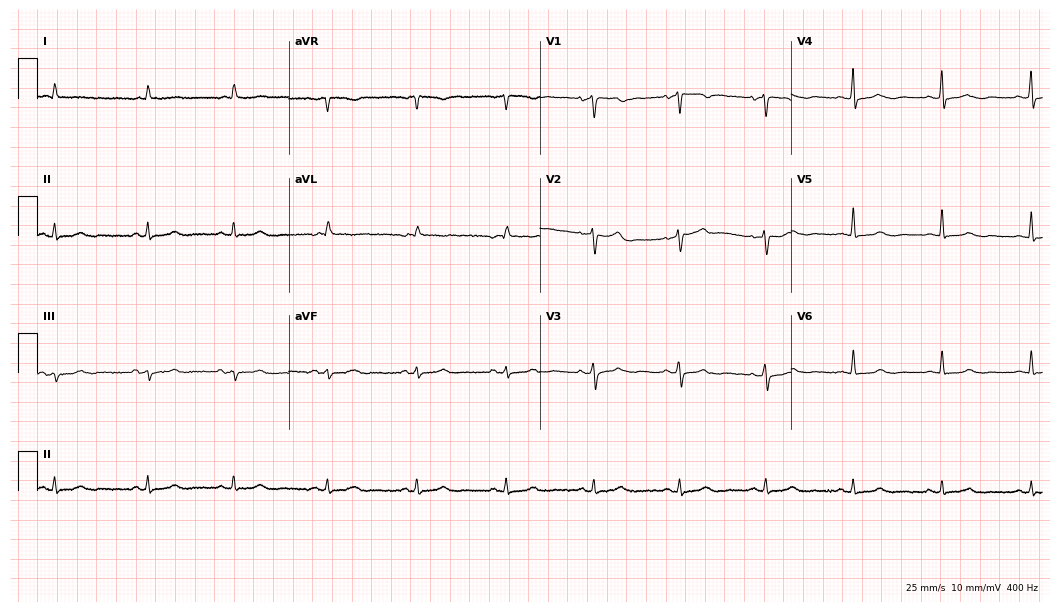
12-lead ECG (10.2-second recording at 400 Hz) from an 83-year-old woman. Screened for six findings — first-degree AV block, right bundle branch block, left bundle branch block, sinus bradycardia, atrial fibrillation, sinus tachycardia — none is recorded. Other findings, if any, are not listed.